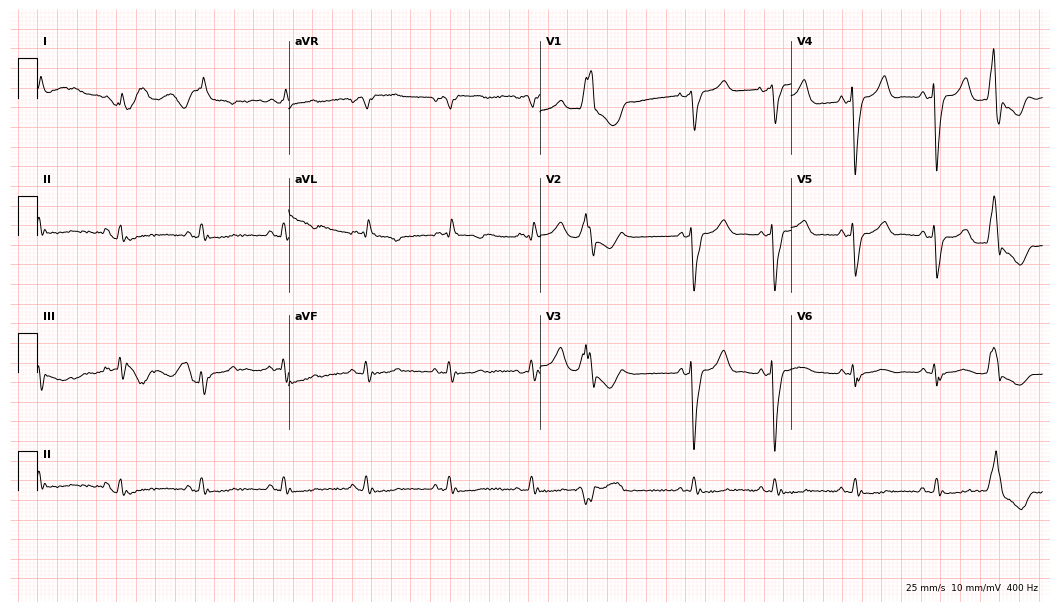
Electrocardiogram (10.2-second recording at 400 Hz), a male patient, 60 years old. Interpretation includes left bundle branch block.